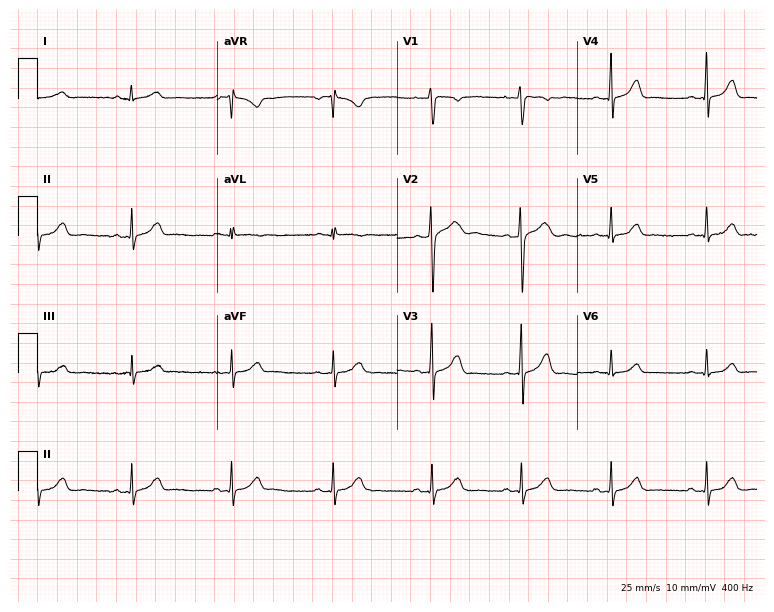
ECG — a 20-year-old female patient. Screened for six findings — first-degree AV block, right bundle branch block, left bundle branch block, sinus bradycardia, atrial fibrillation, sinus tachycardia — none is recorded. Other findings, if any, are not listed.